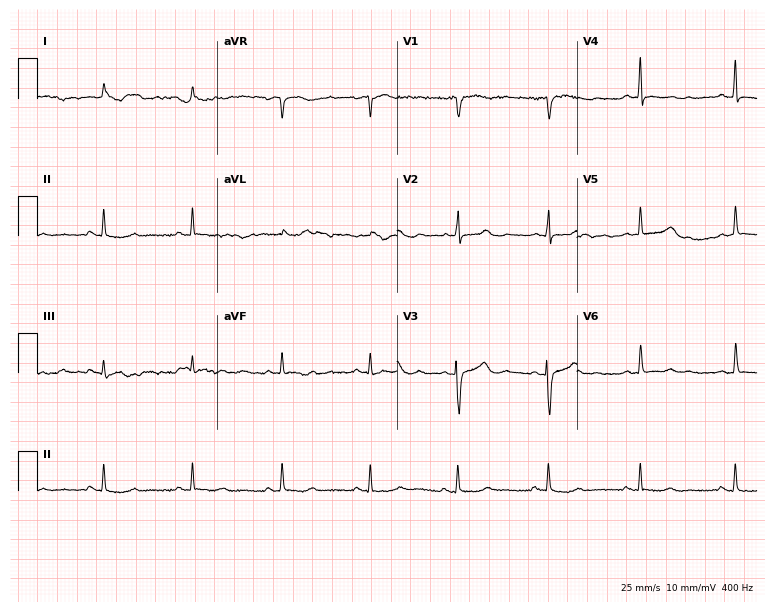
Resting 12-lead electrocardiogram. Patient: a 65-year-old woman. None of these six findings is recorded: first-degree AV block, right bundle branch block, left bundle branch block, sinus bradycardia, atrial fibrillation, sinus tachycardia. Other findings, if any, are not listed.